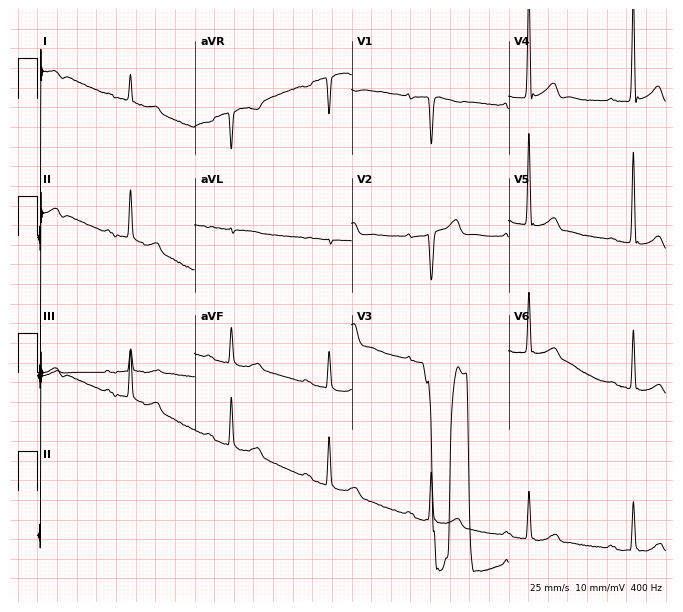
12-lead ECG (6.4-second recording at 400 Hz) from a 77-year-old man. Screened for six findings — first-degree AV block, right bundle branch block, left bundle branch block, sinus bradycardia, atrial fibrillation, sinus tachycardia — none is recorded. Only these six findings were labelled.